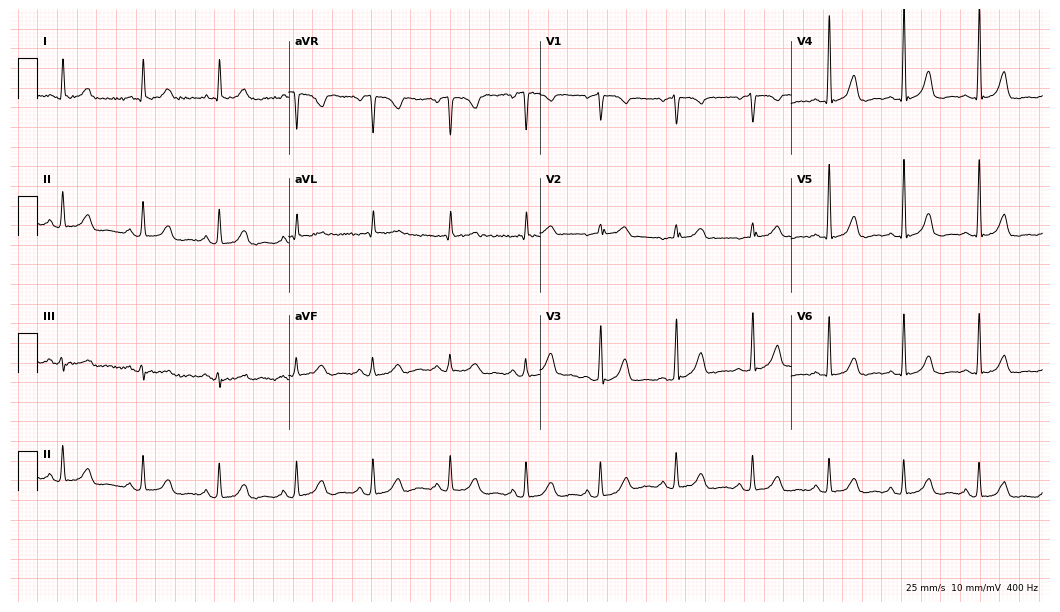
12-lead ECG from a woman, 80 years old (10.2-second recording at 400 Hz). Recorded interpretation: within normal limits.